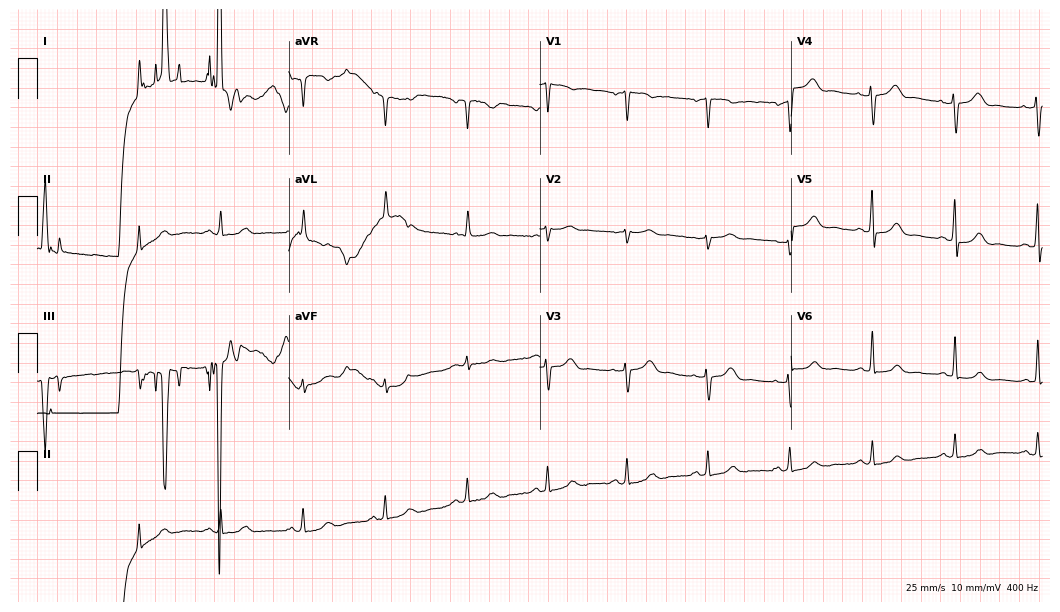
Electrocardiogram, a female patient, 69 years old. Overall reading on record: normal ECG.